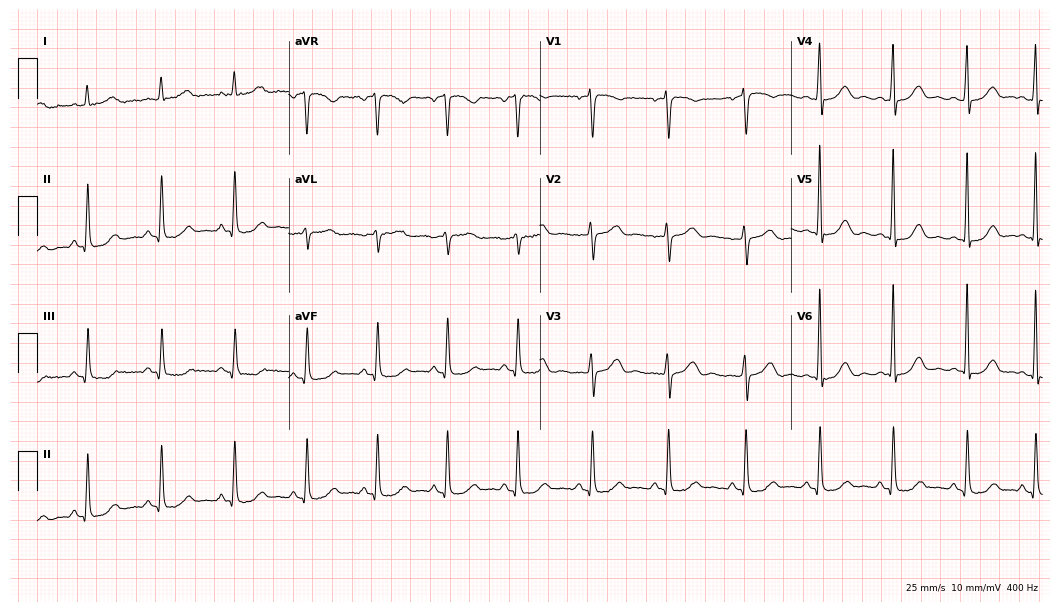
Standard 12-lead ECG recorded from a 47-year-old woman. None of these six findings is recorded: first-degree AV block, right bundle branch block, left bundle branch block, sinus bradycardia, atrial fibrillation, sinus tachycardia.